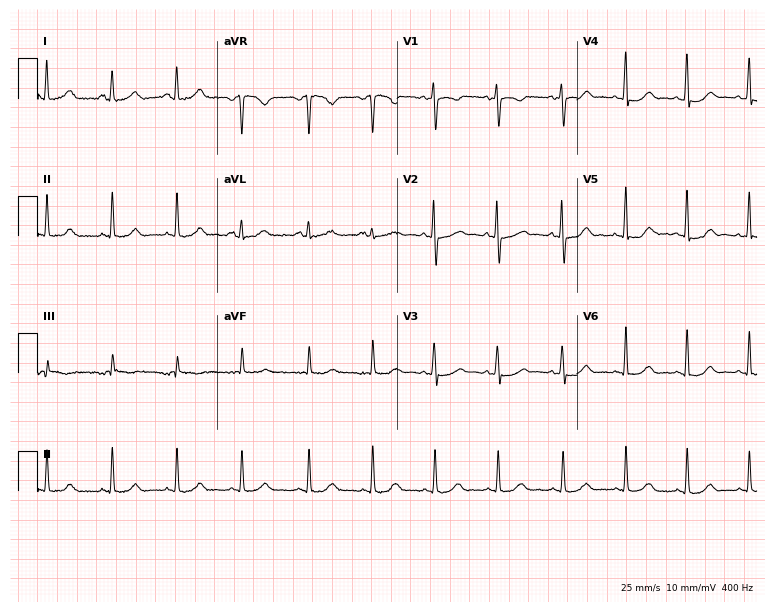
12-lead ECG from a woman, 20 years old. No first-degree AV block, right bundle branch block, left bundle branch block, sinus bradycardia, atrial fibrillation or sinus tachycardia recorded for this tracing.